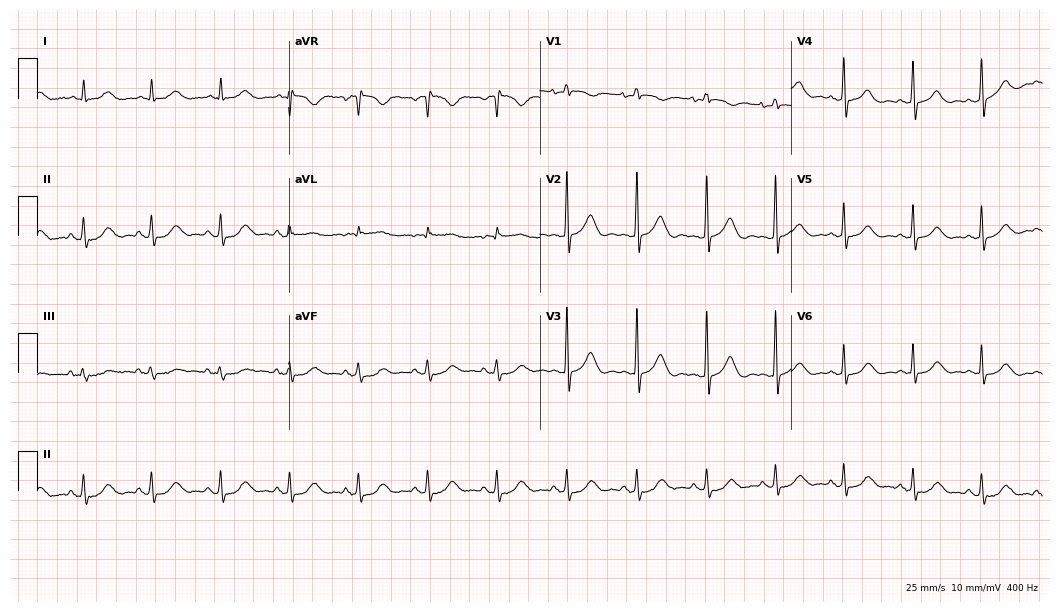
Electrocardiogram, a 70-year-old female. Overall reading on record: normal ECG.